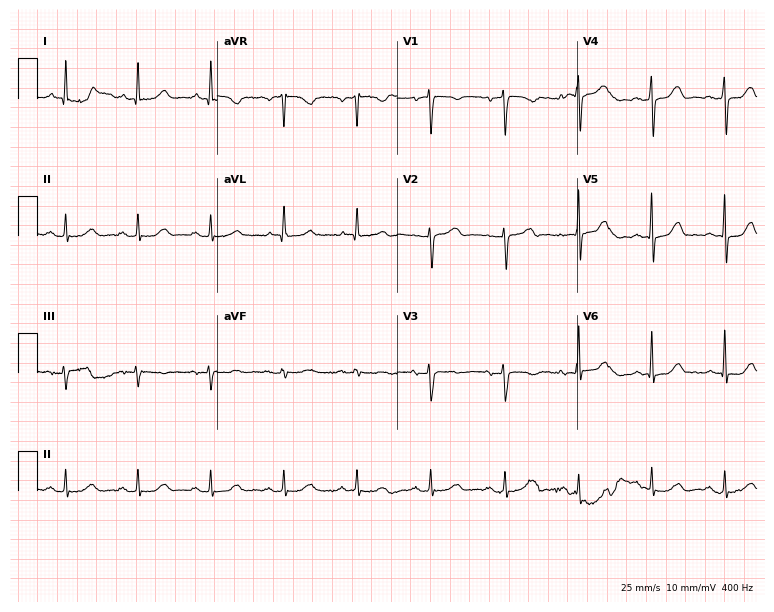
ECG (7.3-second recording at 400 Hz) — a 72-year-old female. Labelled as a normal ECG.